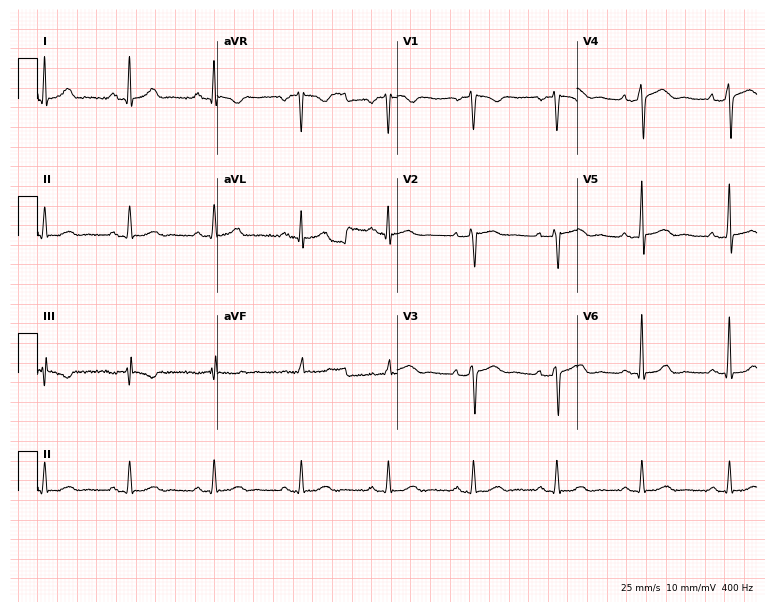
Electrocardiogram (7.3-second recording at 400 Hz), a man, 42 years old. Overall reading on record: normal ECG.